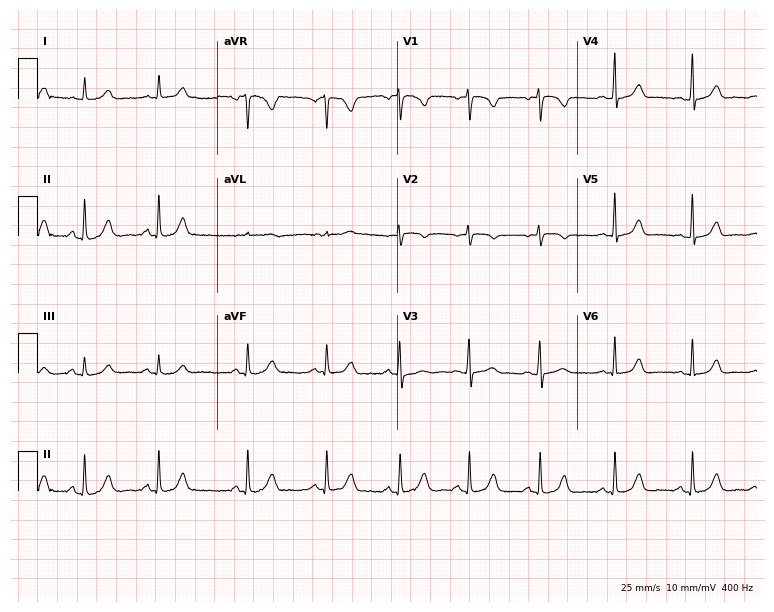
12-lead ECG (7.3-second recording at 400 Hz) from a female patient, 23 years old. Labelled as a normal ECG.